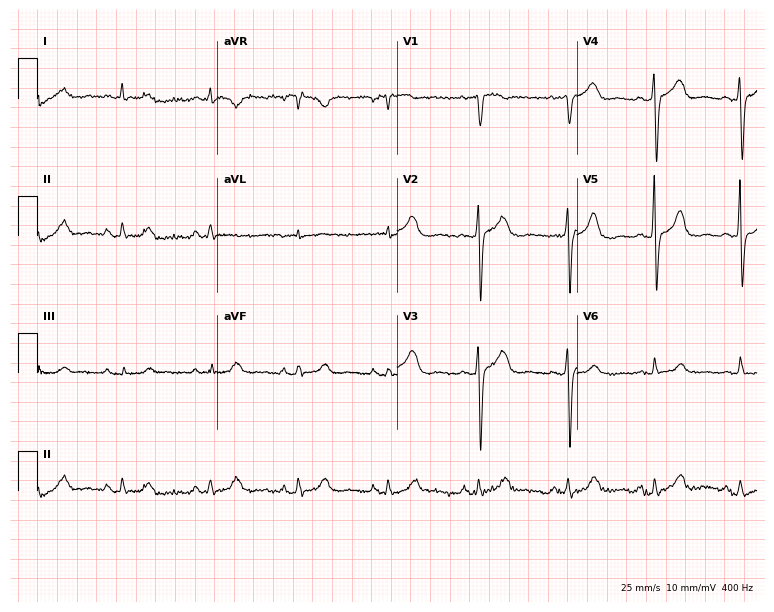
12-lead ECG from an 83-year-old woman. Screened for six findings — first-degree AV block, right bundle branch block, left bundle branch block, sinus bradycardia, atrial fibrillation, sinus tachycardia — none is recorded. Findings outside these six are not listed.